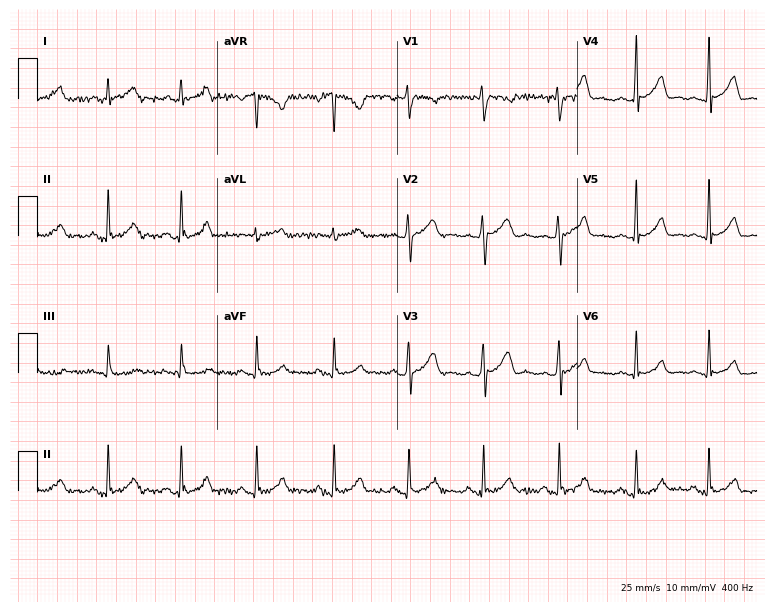
12-lead ECG (7.3-second recording at 400 Hz) from a 23-year-old female patient. Labelled as a normal ECG.